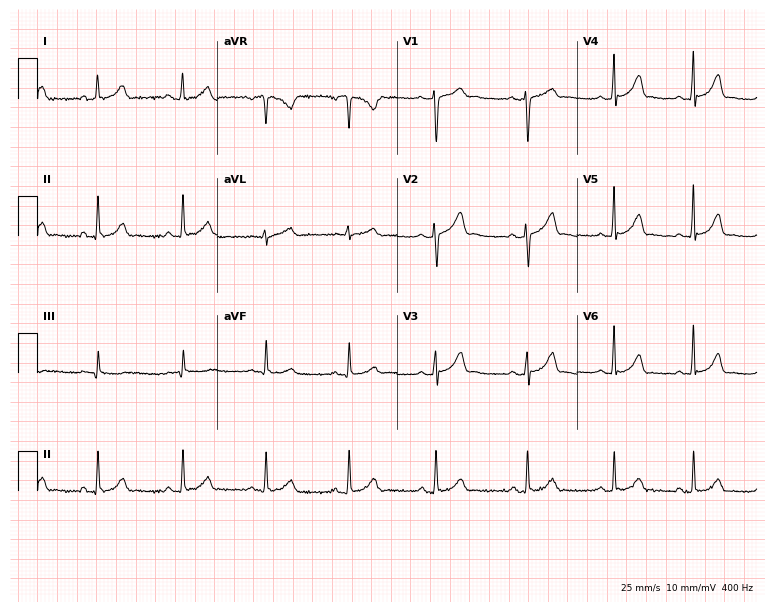
12-lead ECG (7.3-second recording at 400 Hz) from a 25-year-old female. Labelled as a normal ECG.